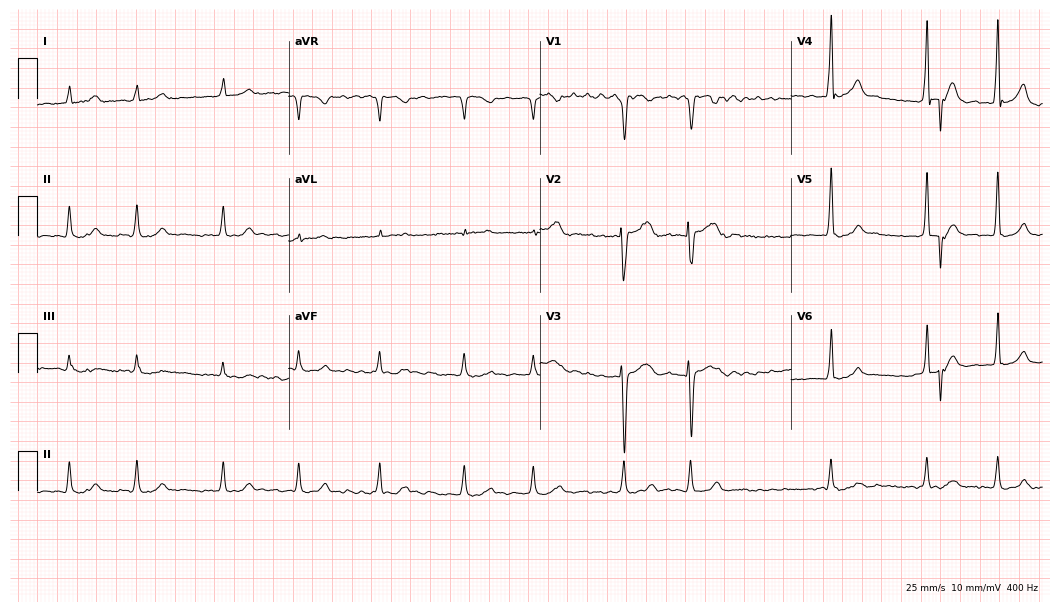
12-lead ECG from a male, 43 years old. Shows atrial fibrillation (AF).